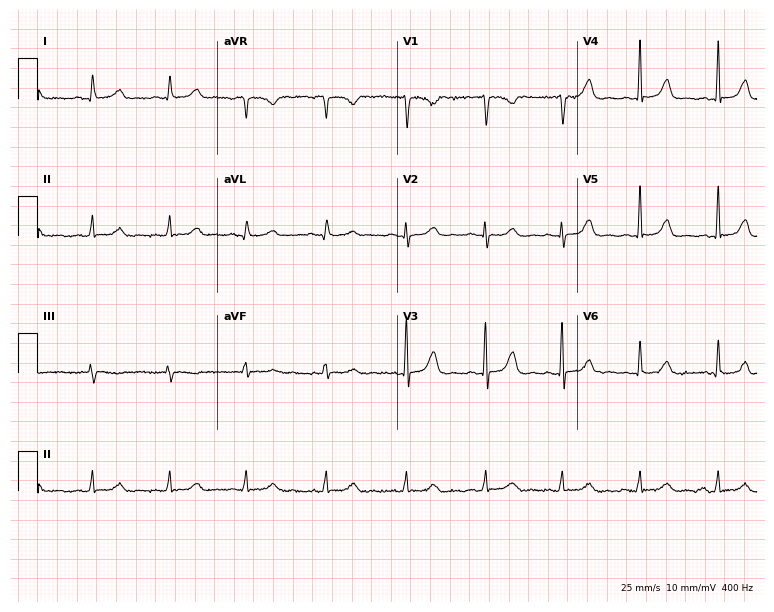
Resting 12-lead electrocardiogram (7.3-second recording at 400 Hz). Patient: a female, 41 years old. Read as a normal ECG.